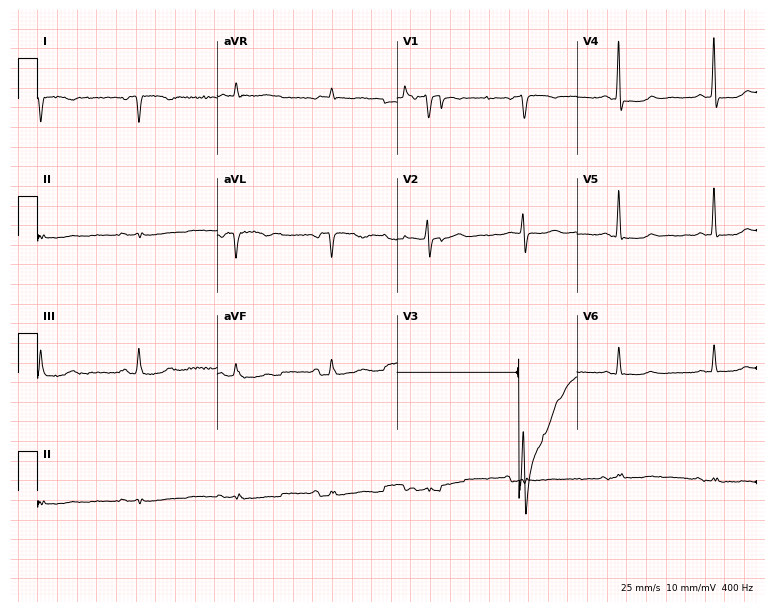
Resting 12-lead electrocardiogram. Patient: a 73-year-old female. None of these six findings is recorded: first-degree AV block, right bundle branch block, left bundle branch block, sinus bradycardia, atrial fibrillation, sinus tachycardia. Only these six findings were labelled.